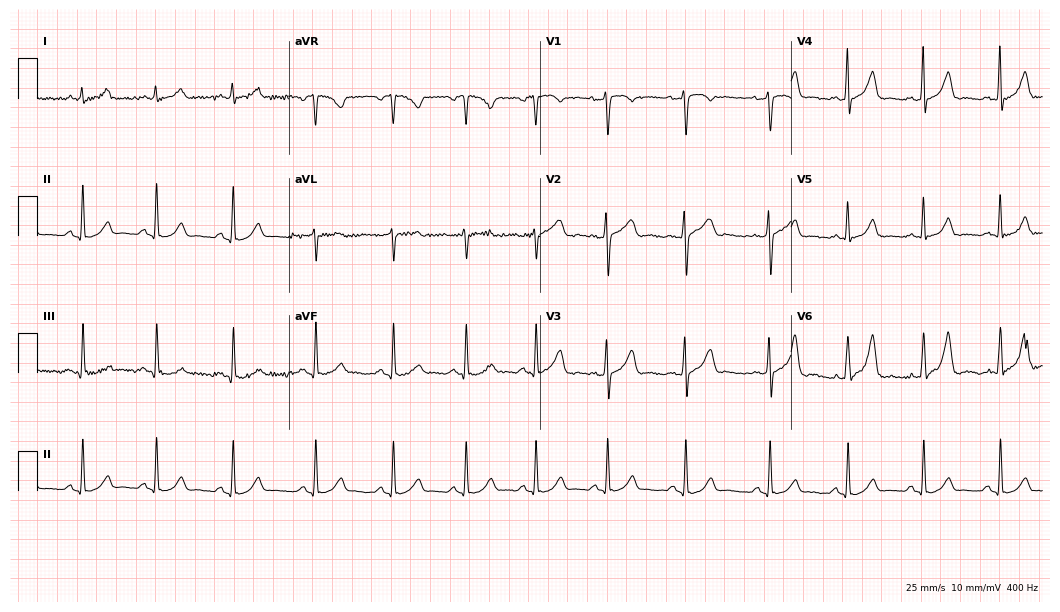
12-lead ECG from a woman, 28 years old (10.2-second recording at 400 Hz). Recorded interpretation: within normal limits.